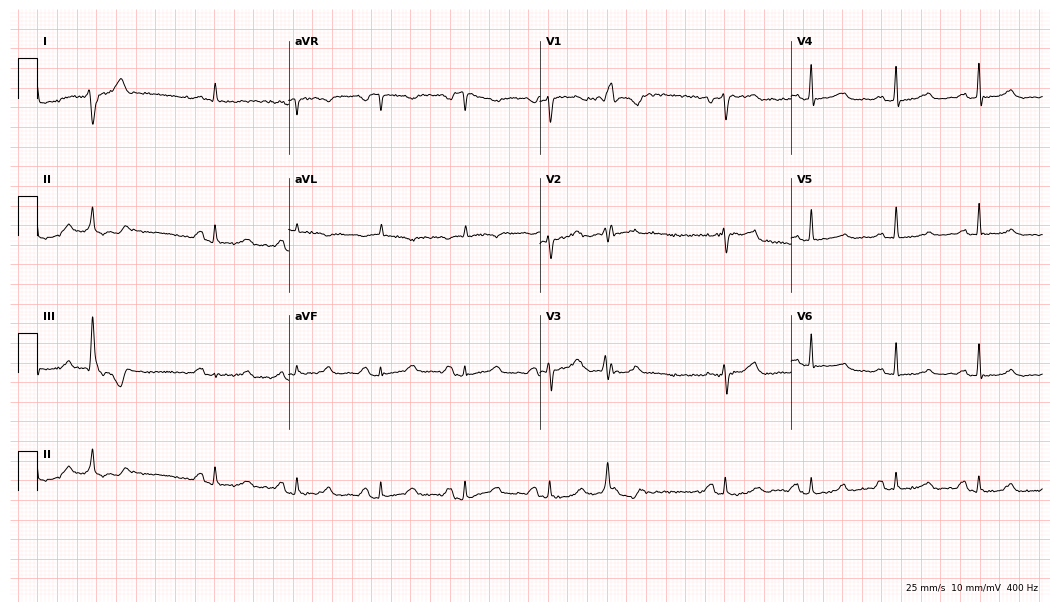
Electrocardiogram (10.2-second recording at 400 Hz), a 51-year-old female patient. Of the six screened findings (first-degree AV block, right bundle branch block (RBBB), left bundle branch block (LBBB), sinus bradycardia, atrial fibrillation (AF), sinus tachycardia), none is recorded. Other findings, if any, are not listed.